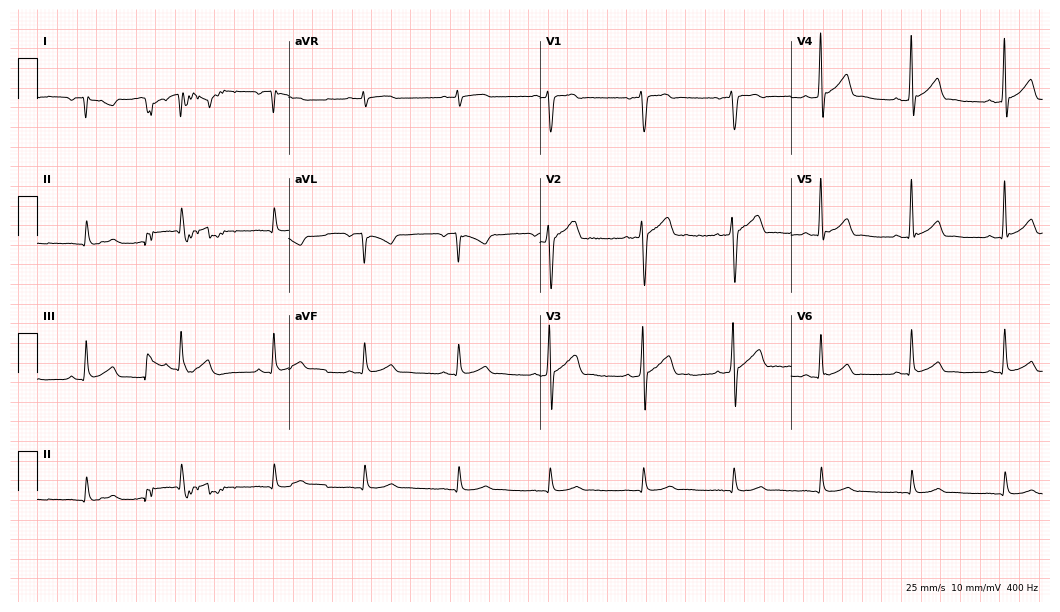
Standard 12-lead ECG recorded from a female patient, 79 years old. Read as a normal ECG.